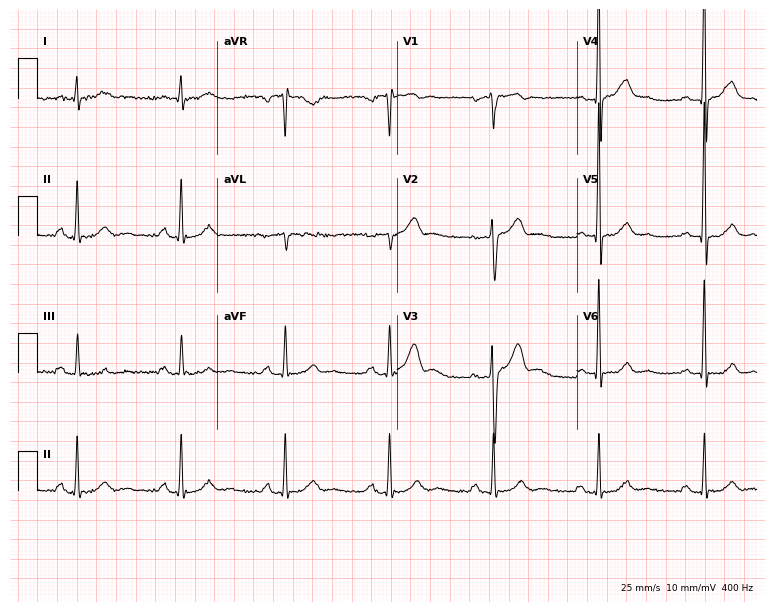
12-lead ECG (7.3-second recording at 400 Hz) from a 52-year-old male. Labelled as a normal ECG.